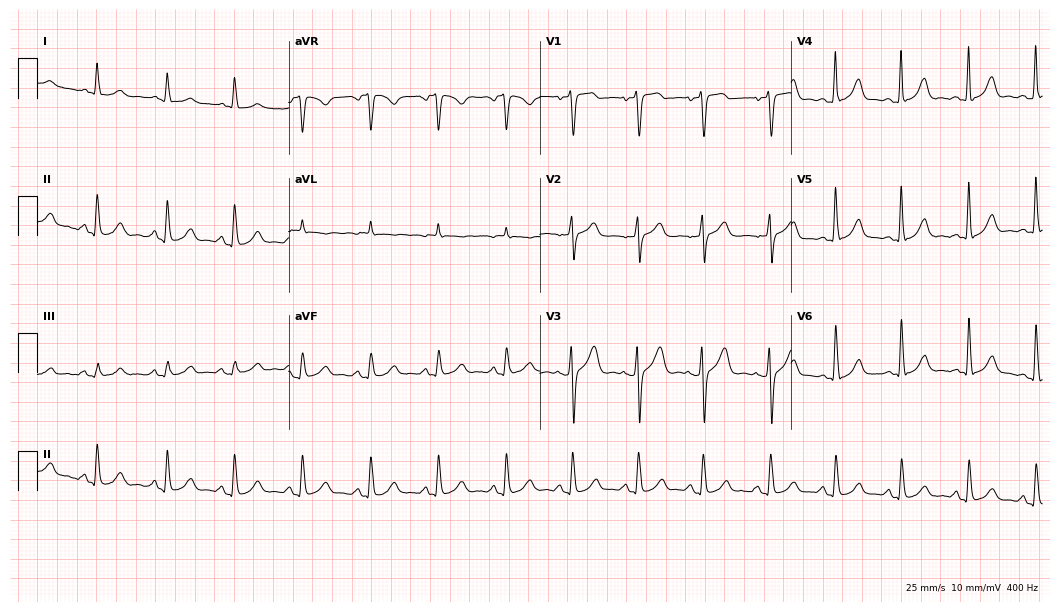
Electrocardiogram (10.2-second recording at 400 Hz), a man, 60 years old. Overall reading on record: normal ECG.